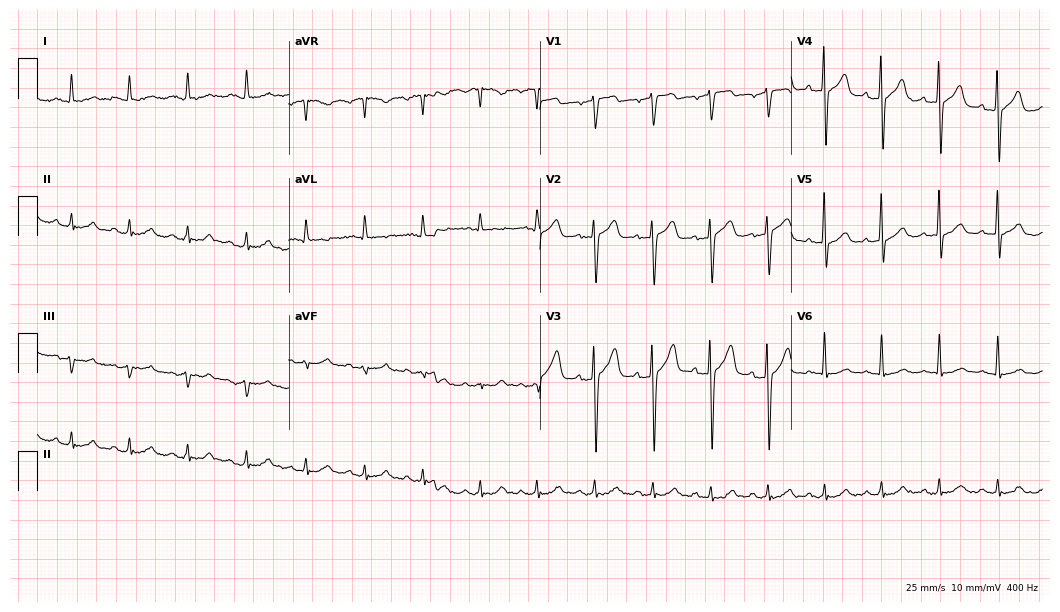
12-lead ECG (10.2-second recording at 400 Hz) from a 77-year-old male. Findings include sinus tachycardia (a sinus rate of 100 beats per minute or more).